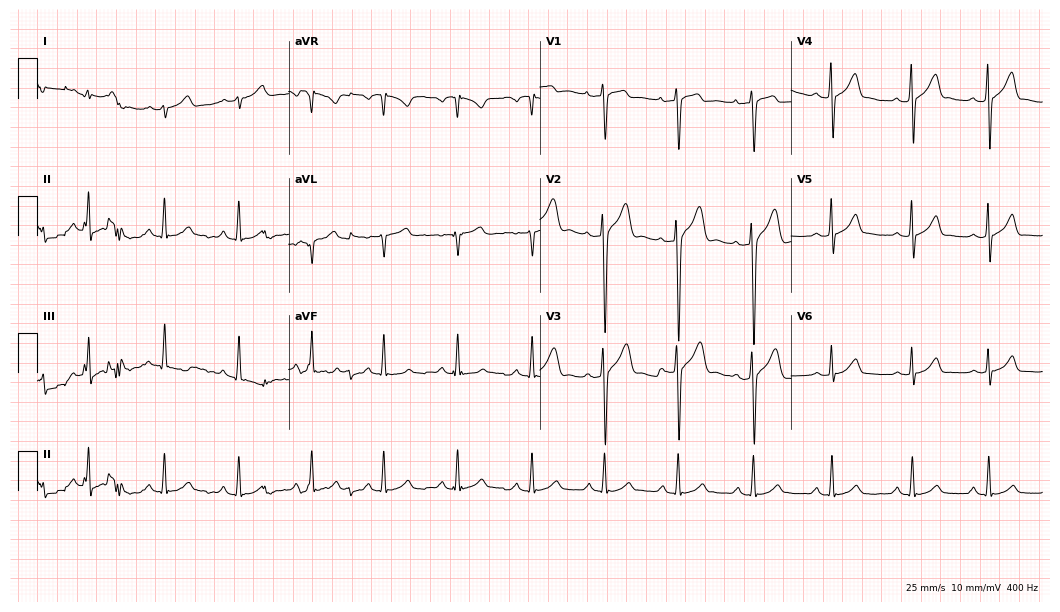
ECG — a 23-year-old man. Screened for six findings — first-degree AV block, right bundle branch block (RBBB), left bundle branch block (LBBB), sinus bradycardia, atrial fibrillation (AF), sinus tachycardia — none is recorded.